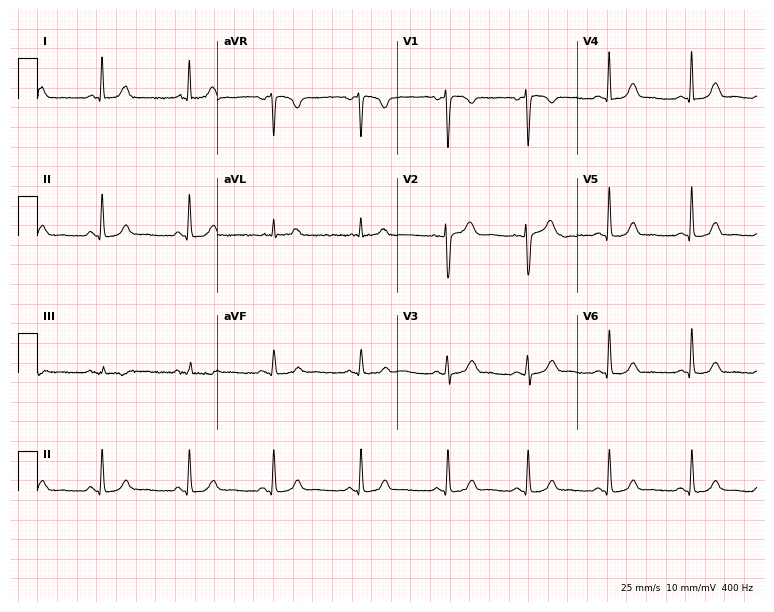
Electrocardiogram (7.3-second recording at 400 Hz), a woman, 45 years old. Overall reading on record: normal ECG.